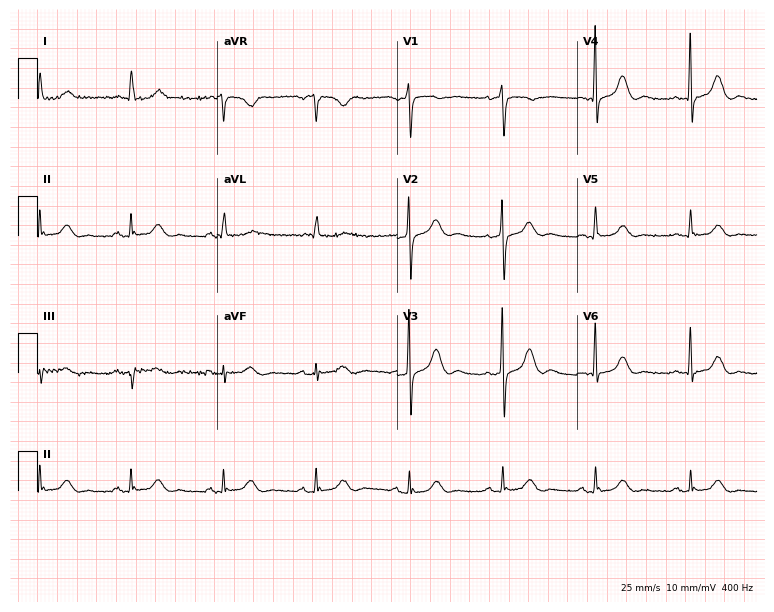
ECG (7.3-second recording at 400 Hz) — a female patient, 79 years old. Labelled as a normal ECG.